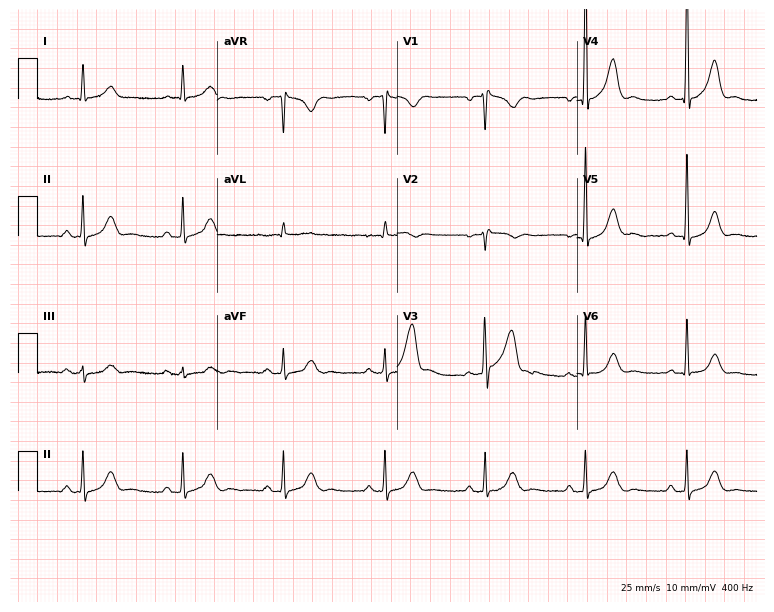
12-lead ECG from a 63-year-old male. No first-degree AV block, right bundle branch block, left bundle branch block, sinus bradycardia, atrial fibrillation or sinus tachycardia recorded for this tracing.